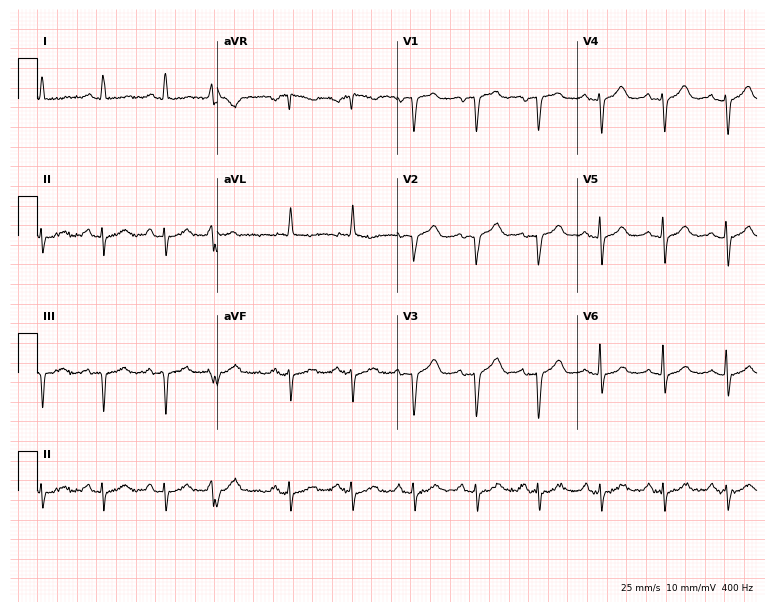
ECG — a female patient, 79 years old. Screened for six findings — first-degree AV block, right bundle branch block, left bundle branch block, sinus bradycardia, atrial fibrillation, sinus tachycardia — none is recorded. Other findings, if any, are not listed.